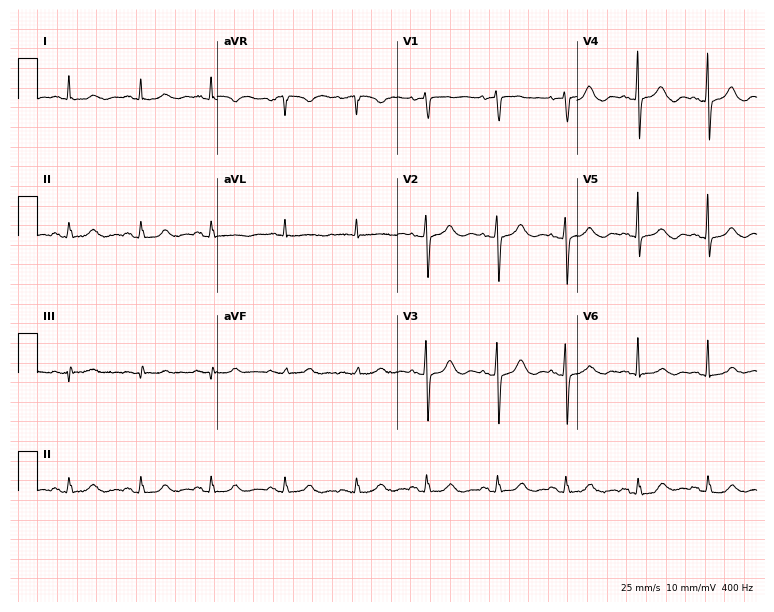
12-lead ECG (7.3-second recording at 400 Hz) from a female, 79 years old. Screened for six findings — first-degree AV block, right bundle branch block, left bundle branch block, sinus bradycardia, atrial fibrillation, sinus tachycardia — none is recorded.